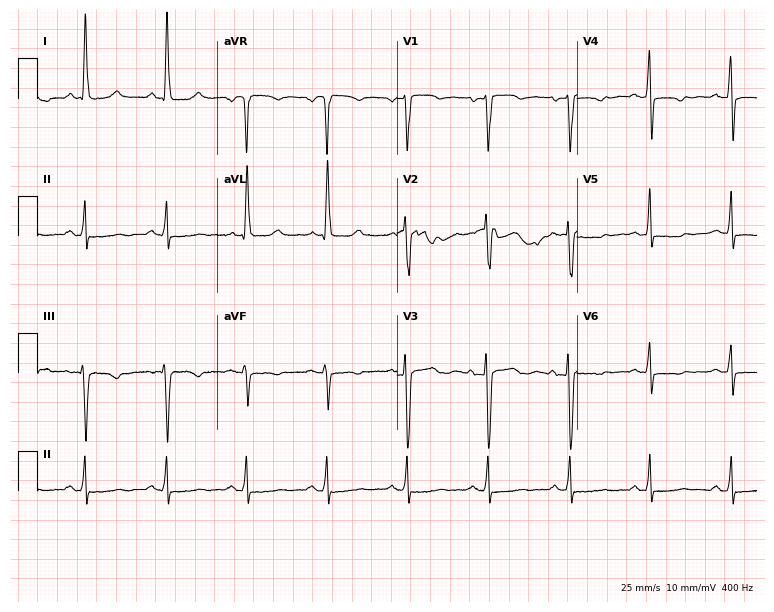
12-lead ECG from a 40-year-old woman. Screened for six findings — first-degree AV block, right bundle branch block, left bundle branch block, sinus bradycardia, atrial fibrillation, sinus tachycardia — none is recorded. Only these six findings were labelled.